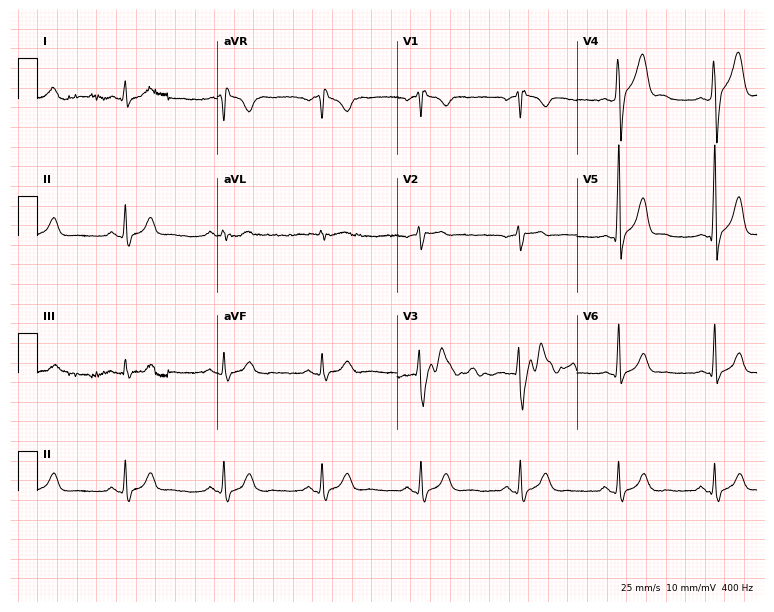
12-lead ECG (7.3-second recording at 400 Hz) from a male patient, 41 years old. Screened for six findings — first-degree AV block, right bundle branch block, left bundle branch block, sinus bradycardia, atrial fibrillation, sinus tachycardia — none is recorded.